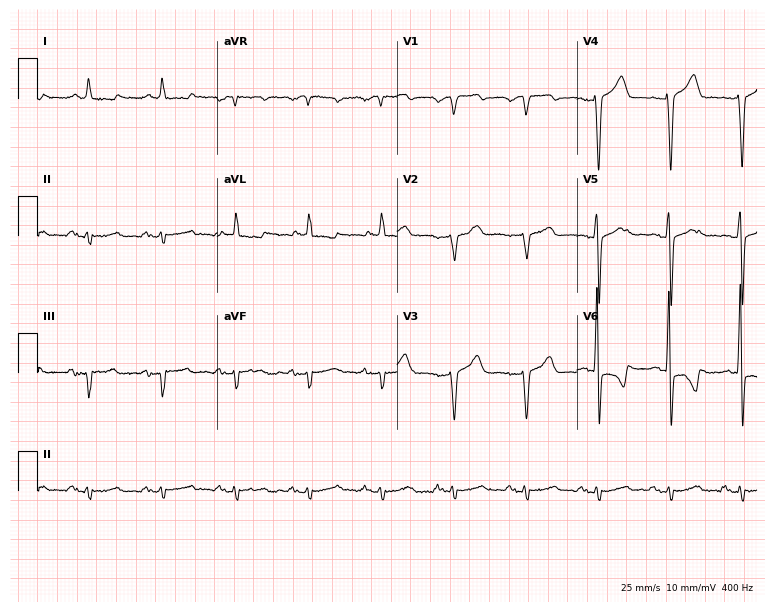
Electrocardiogram (7.3-second recording at 400 Hz), a male patient, 67 years old. Of the six screened findings (first-degree AV block, right bundle branch block (RBBB), left bundle branch block (LBBB), sinus bradycardia, atrial fibrillation (AF), sinus tachycardia), none is recorded. Other findings, if any, are not listed.